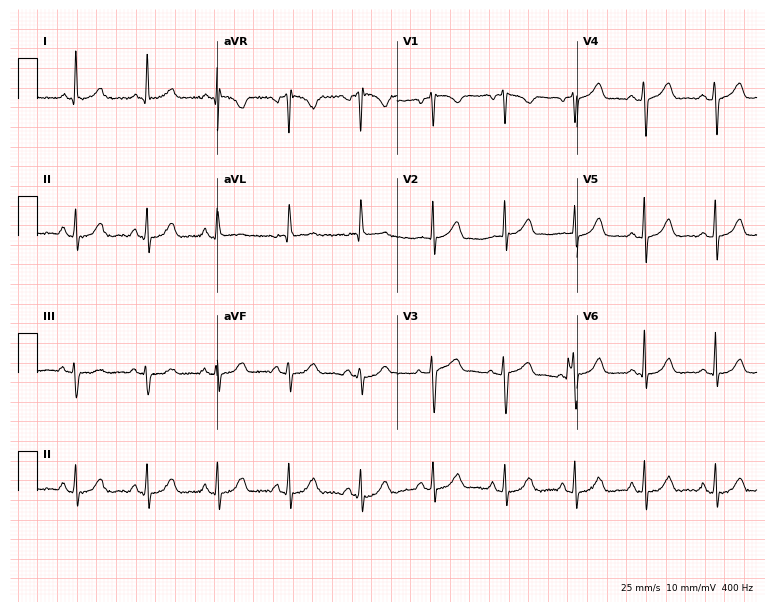
Resting 12-lead electrocardiogram (7.3-second recording at 400 Hz). Patient: a woman, 70 years old. Read as a normal ECG.